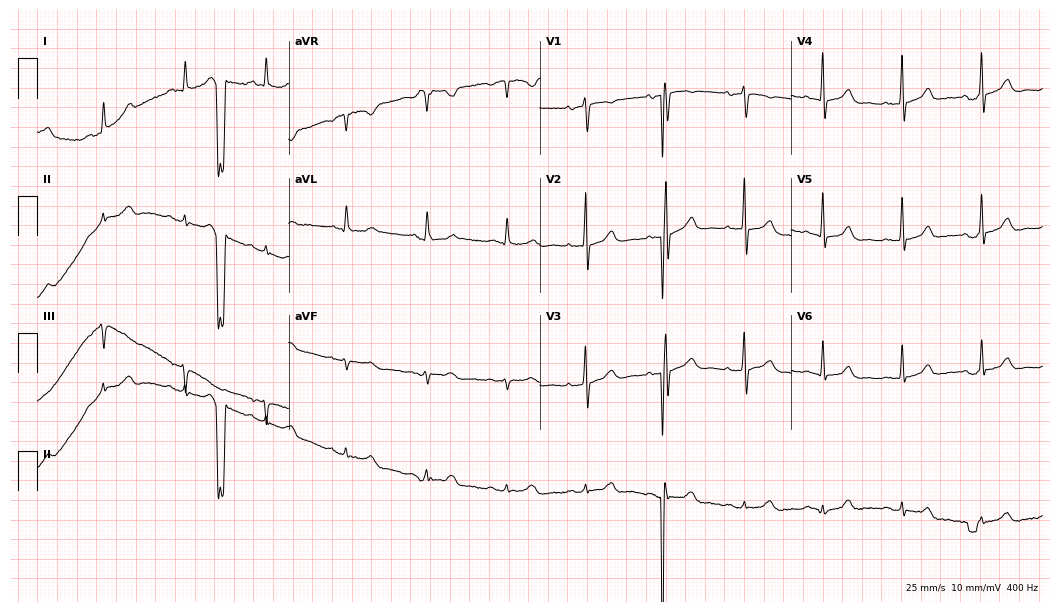
ECG (10.2-second recording at 400 Hz) — a 71-year-old female patient. Labelled as a normal ECG.